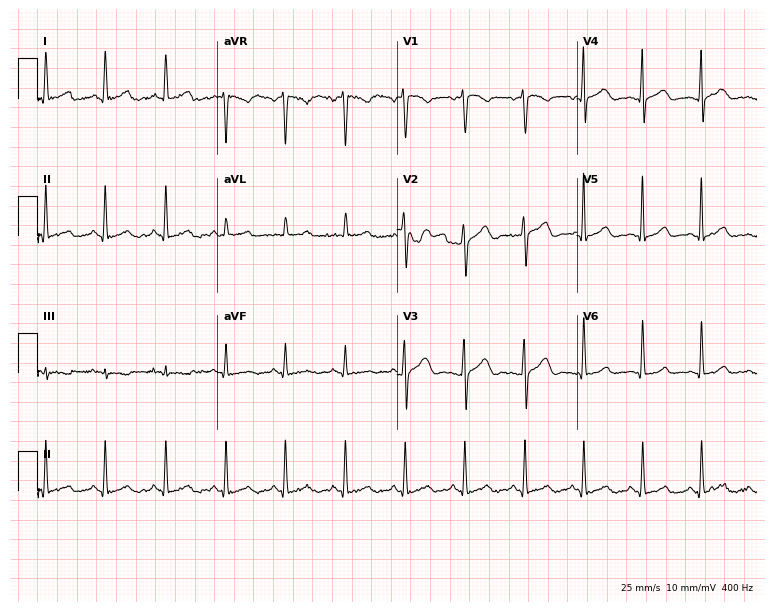
Resting 12-lead electrocardiogram (7.3-second recording at 400 Hz). Patient: a 55-year-old woman. None of these six findings is recorded: first-degree AV block, right bundle branch block, left bundle branch block, sinus bradycardia, atrial fibrillation, sinus tachycardia. Findings outside these six are not listed.